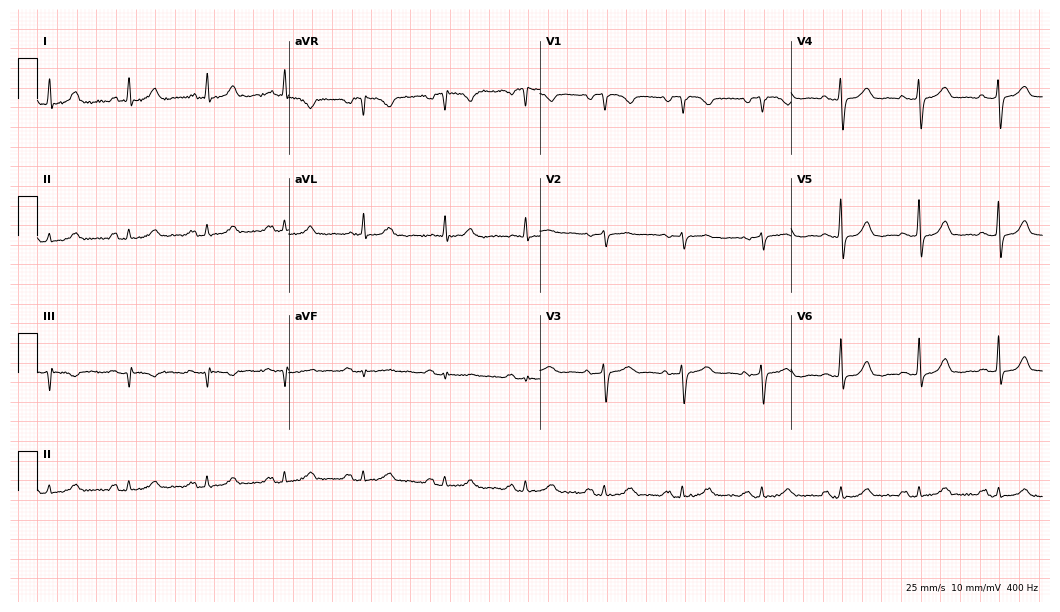
12-lead ECG (10.2-second recording at 400 Hz) from a female, 70 years old. Labelled as a normal ECG.